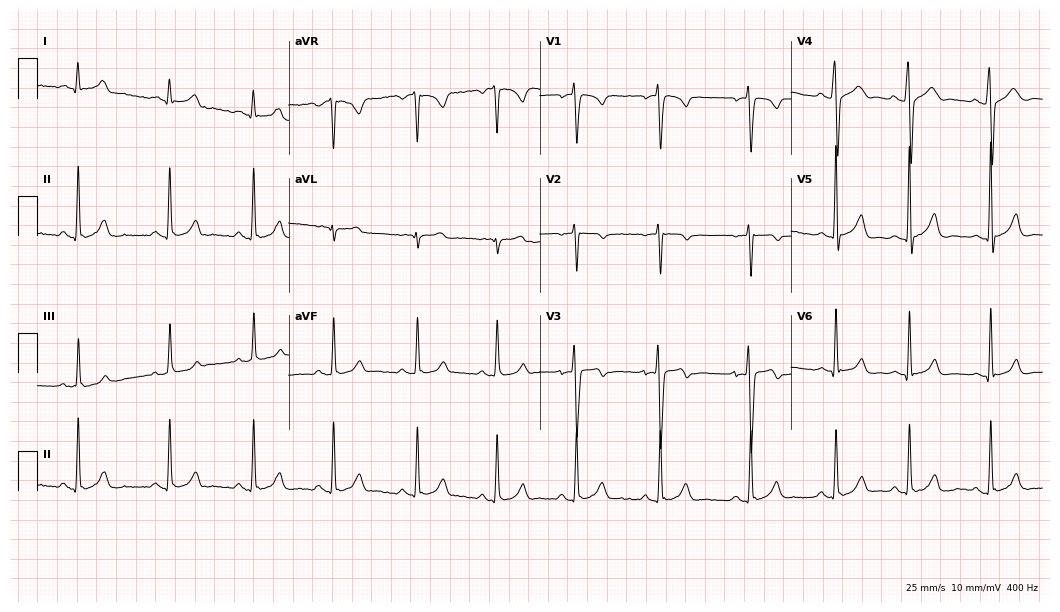
12-lead ECG from a 19-year-old male patient. Recorded interpretation: within normal limits.